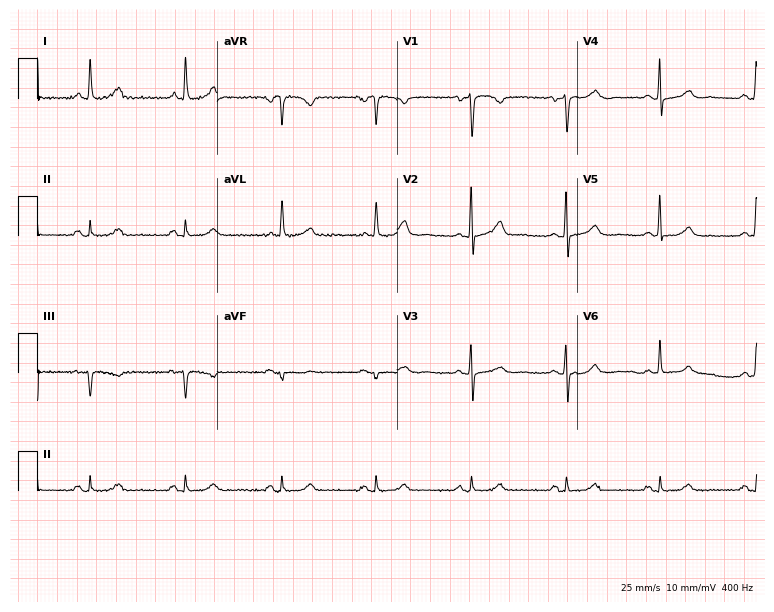
Resting 12-lead electrocardiogram (7.3-second recording at 400 Hz). Patient: a 58-year-old female. Read as a normal ECG.